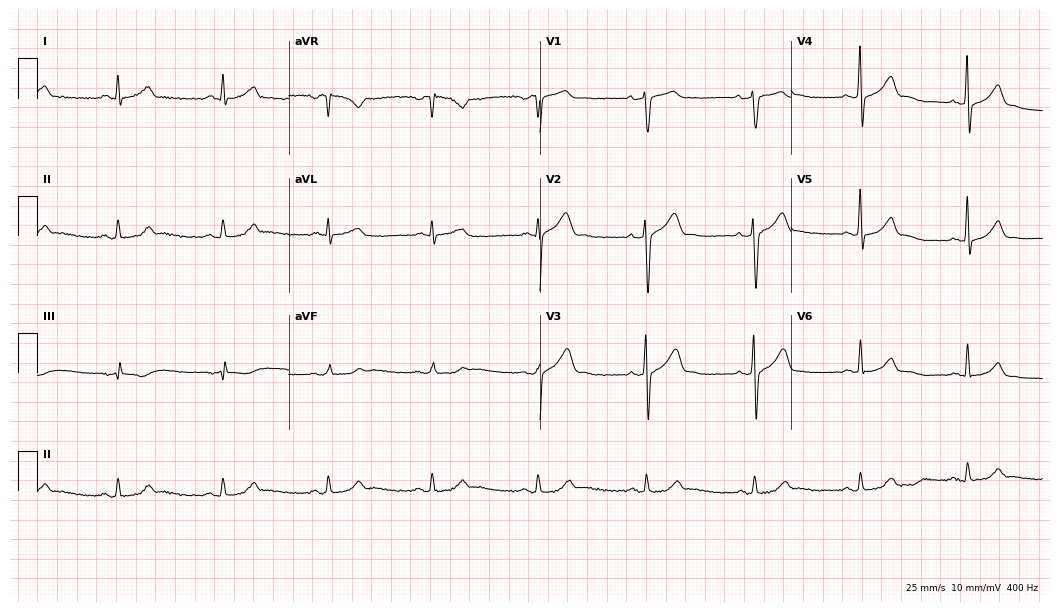
12-lead ECG (10.2-second recording at 400 Hz) from a man, 46 years old. Labelled as a normal ECG.